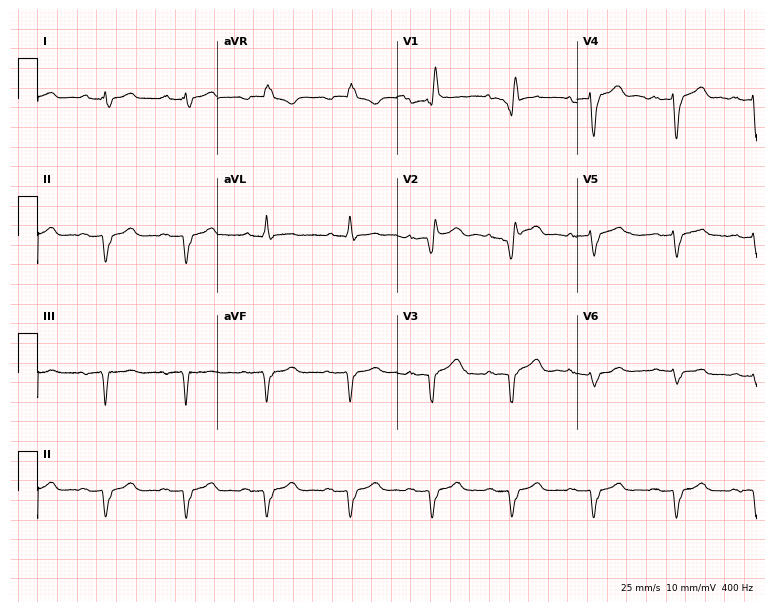
Standard 12-lead ECG recorded from a male patient, 69 years old. The tracing shows right bundle branch block.